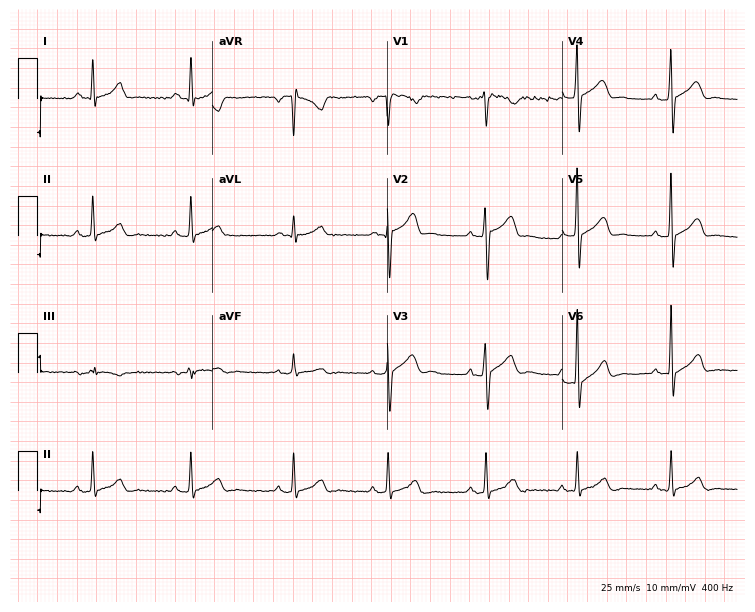
Resting 12-lead electrocardiogram. Patient: a man, 41 years old. Read as a normal ECG.